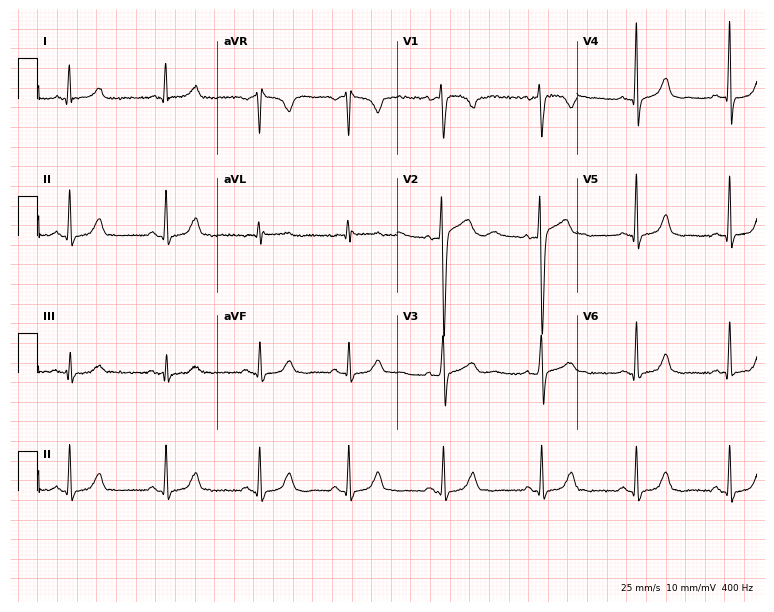
Resting 12-lead electrocardiogram (7.3-second recording at 400 Hz). Patient: a female, 29 years old. None of these six findings is recorded: first-degree AV block, right bundle branch block, left bundle branch block, sinus bradycardia, atrial fibrillation, sinus tachycardia. Other findings, if any, are not listed.